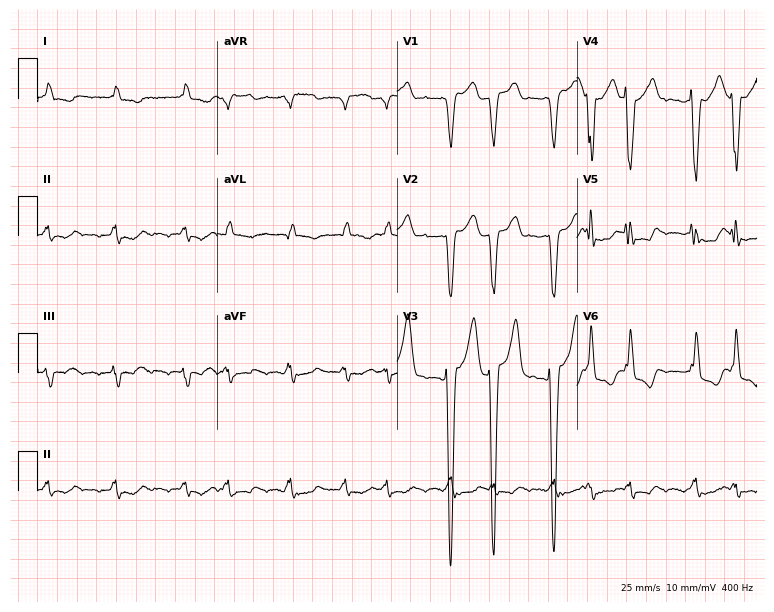
Standard 12-lead ECG recorded from an 81-year-old male (7.3-second recording at 400 Hz). The tracing shows left bundle branch block, atrial fibrillation.